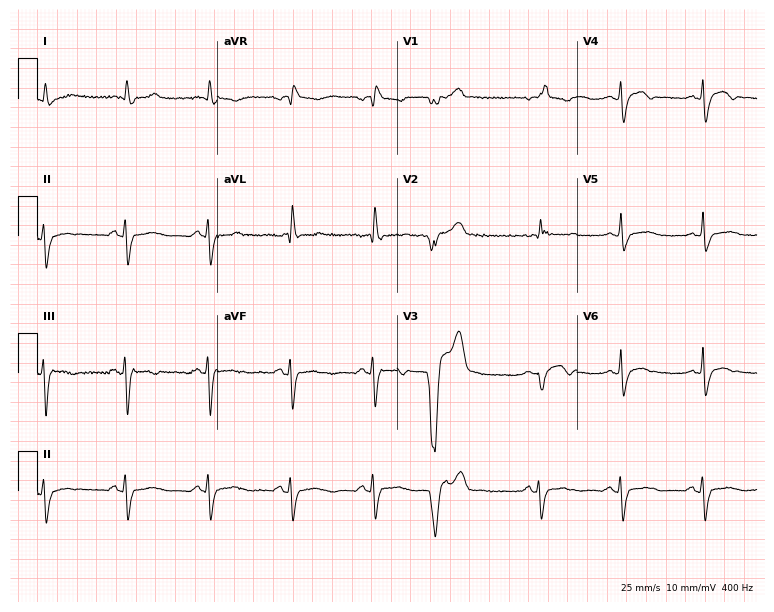
12-lead ECG from a female, 81 years old. Findings include right bundle branch block.